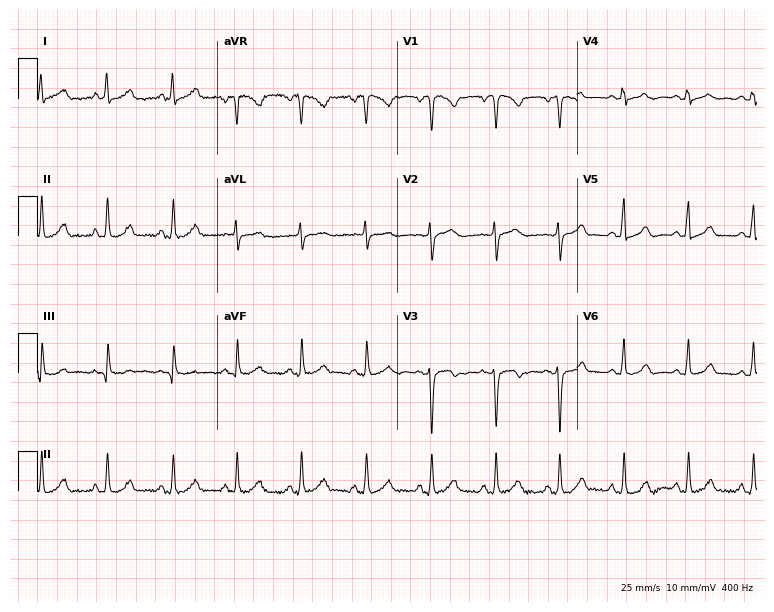
Electrocardiogram, a 60-year-old woman. Overall reading on record: normal ECG.